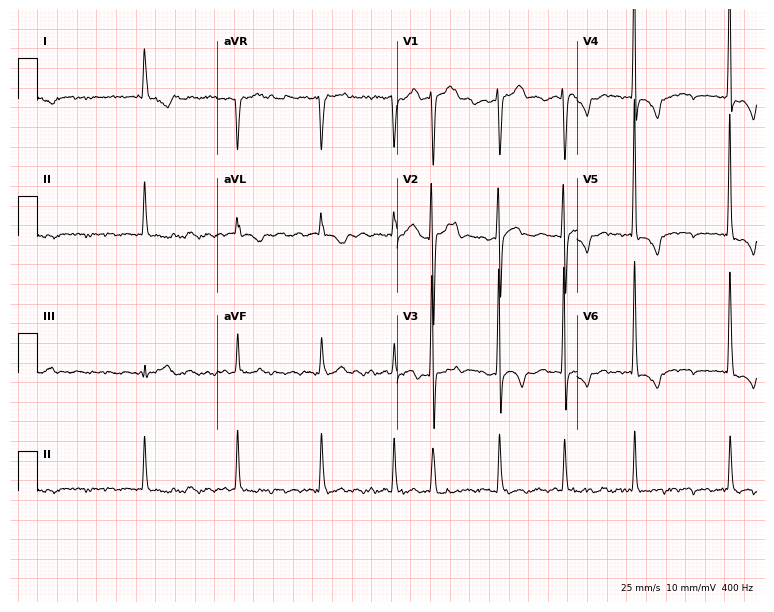
ECG (7.3-second recording at 400 Hz) — a female, 73 years old. Findings include atrial fibrillation.